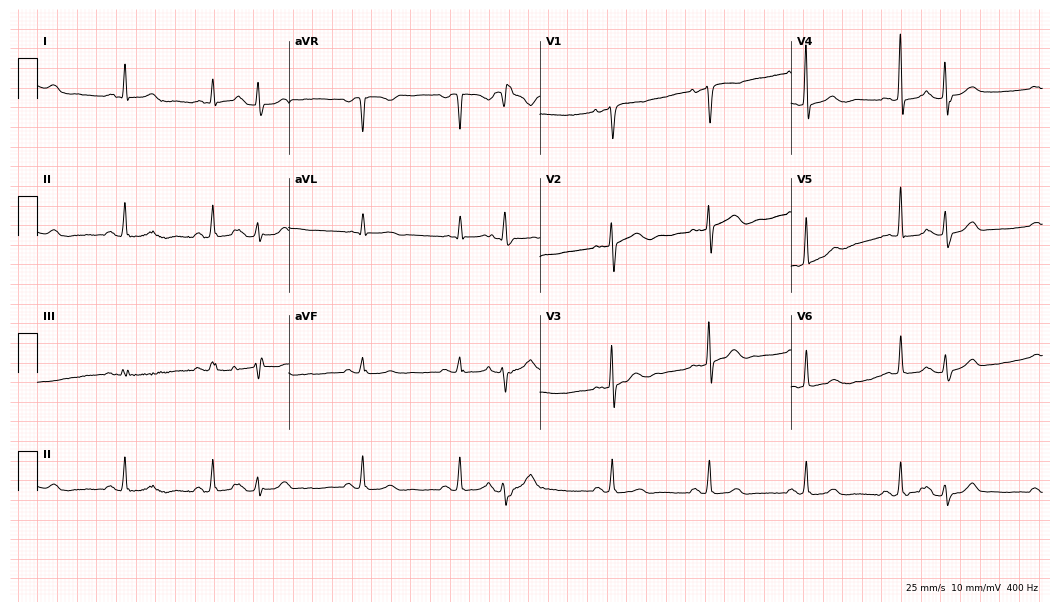
Electrocardiogram, a 66-year-old female. Of the six screened findings (first-degree AV block, right bundle branch block (RBBB), left bundle branch block (LBBB), sinus bradycardia, atrial fibrillation (AF), sinus tachycardia), none is recorded. Findings outside these six are not listed.